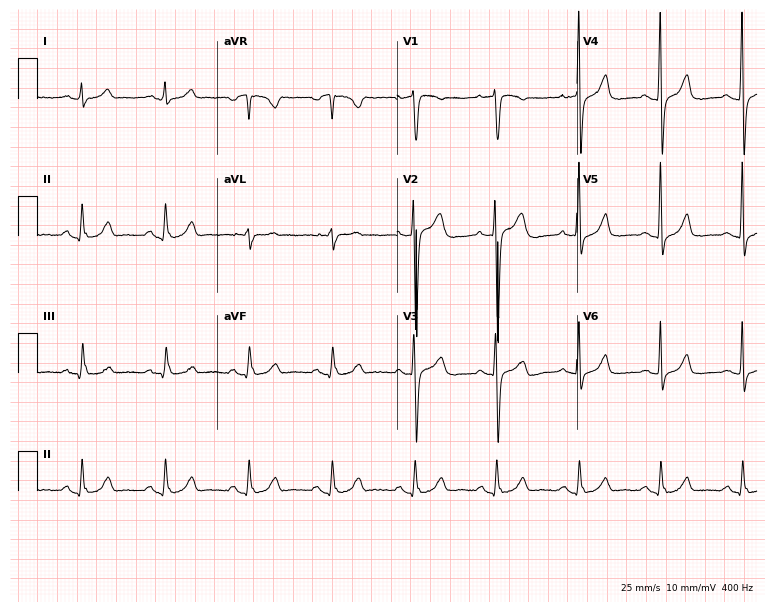
12-lead ECG from a 53-year-old male. Labelled as a normal ECG.